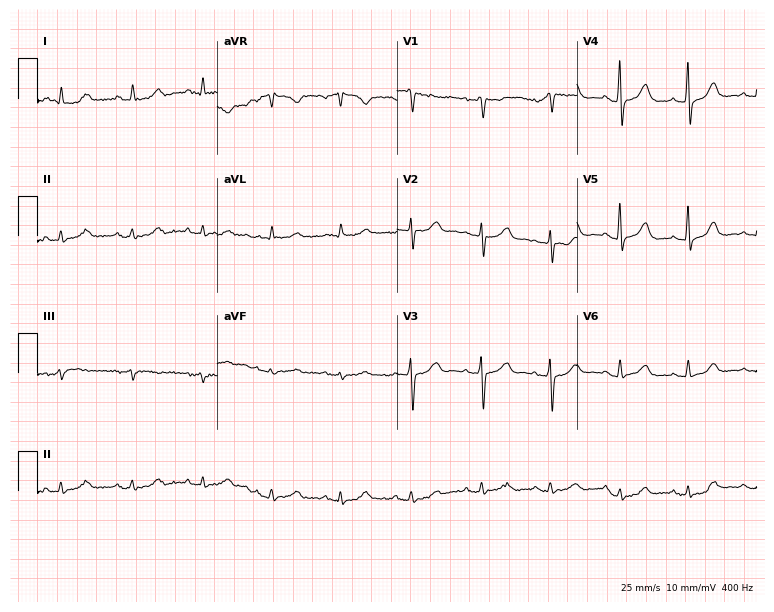
Standard 12-lead ECG recorded from a woman, 71 years old (7.3-second recording at 400 Hz). None of these six findings is recorded: first-degree AV block, right bundle branch block, left bundle branch block, sinus bradycardia, atrial fibrillation, sinus tachycardia.